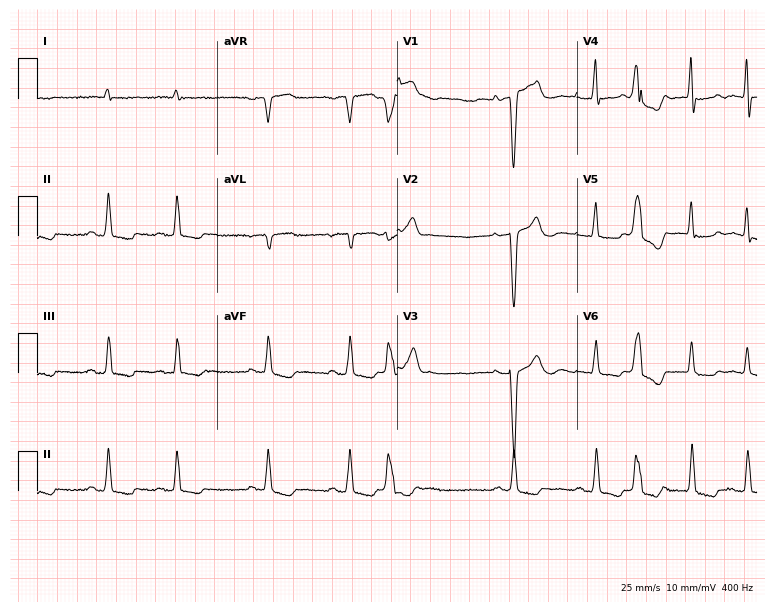
Standard 12-lead ECG recorded from a male patient, 79 years old. None of these six findings is recorded: first-degree AV block, right bundle branch block, left bundle branch block, sinus bradycardia, atrial fibrillation, sinus tachycardia.